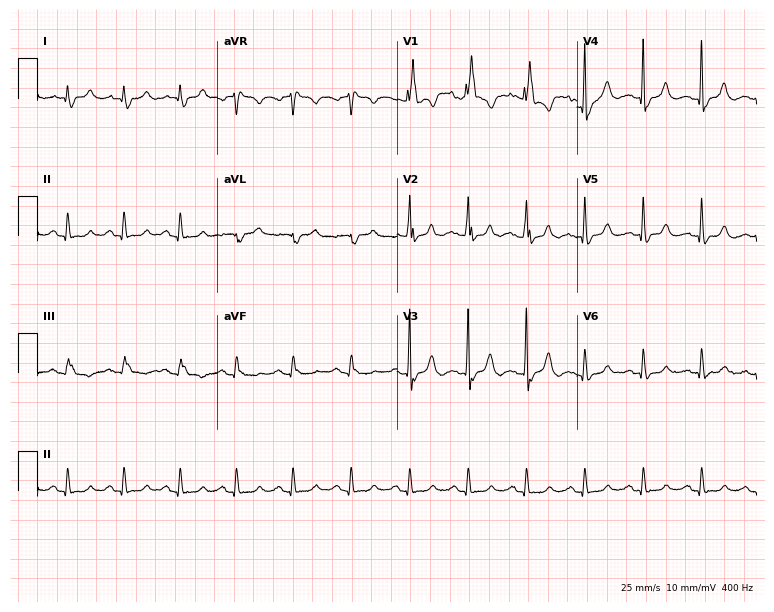
12-lead ECG (7.3-second recording at 400 Hz) from a female, 70 years old. Findings include right bundle branch block, sinus tachycardia (a sinus rate of 100 beats per minute or more).